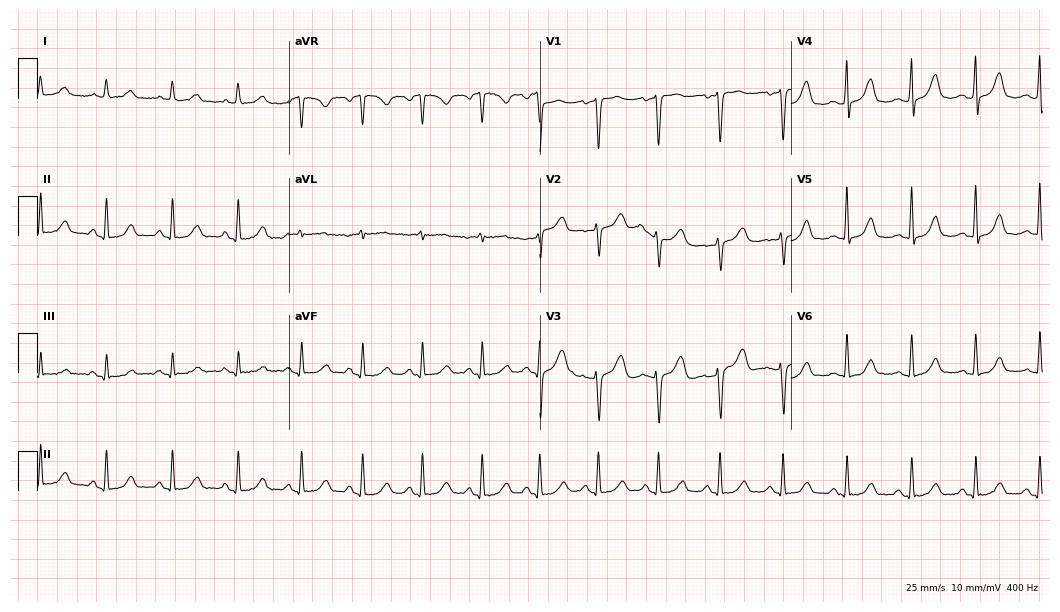
ECG (10.2-second recording at 400 Hz) — a female patient, 41 years old. Screened for six findings — first-degree AV block, right bundle branch block (RBBB), left bundle branch block (LBBB), sinus bradycardia, atrial fibrillation (AF), sinus tachycardia — none is recorded.